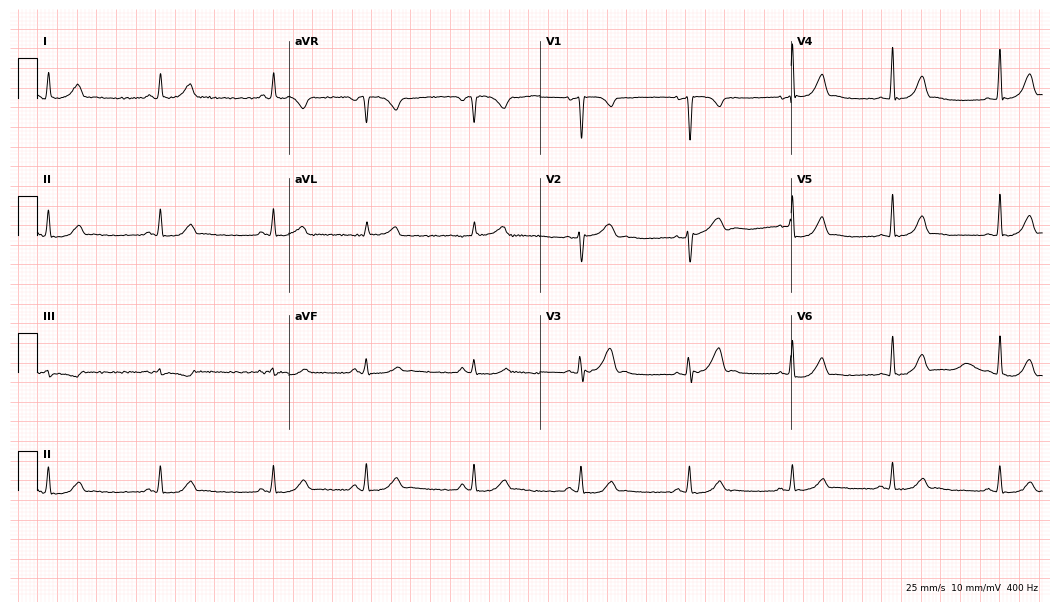
Electrocardiogram, a 34-year-old woman. Overall reading on record: normal ECG.